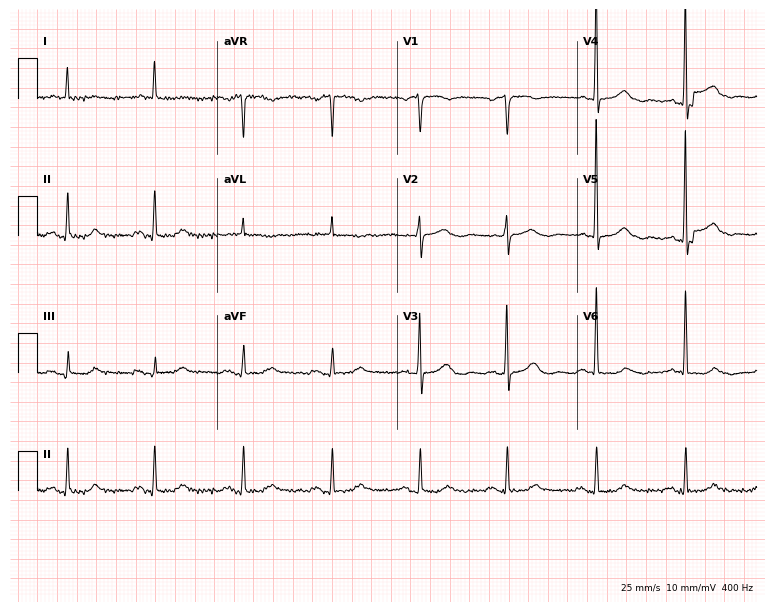
Resting 12-lead electrocardiogram. Patient: an 82-year-old woman. Read as a normal ECG.